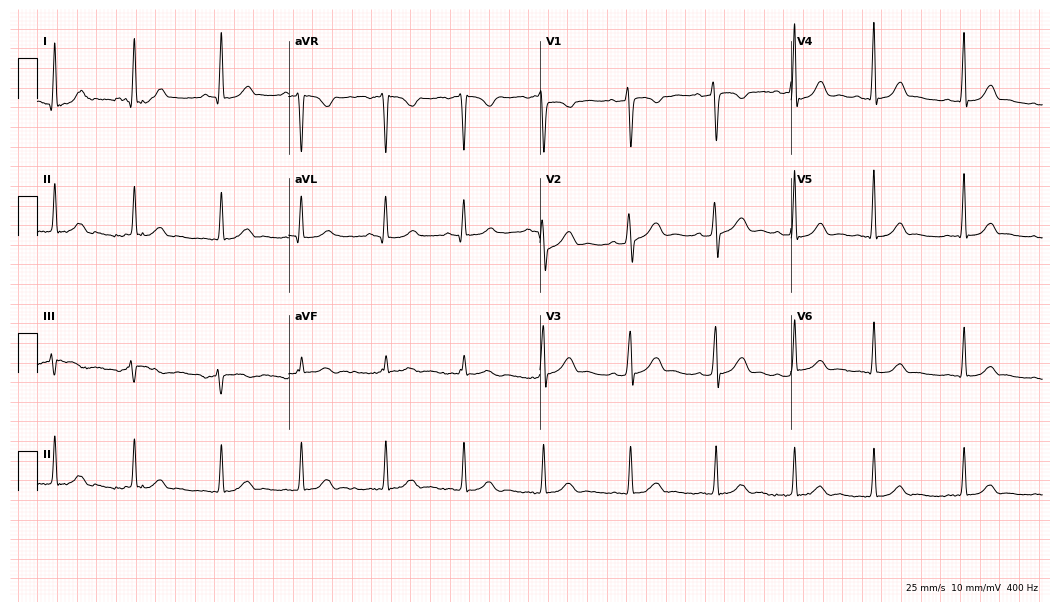
12-lead ECG from a woman, 22 years old. Recorded interpretation: within normal limits.